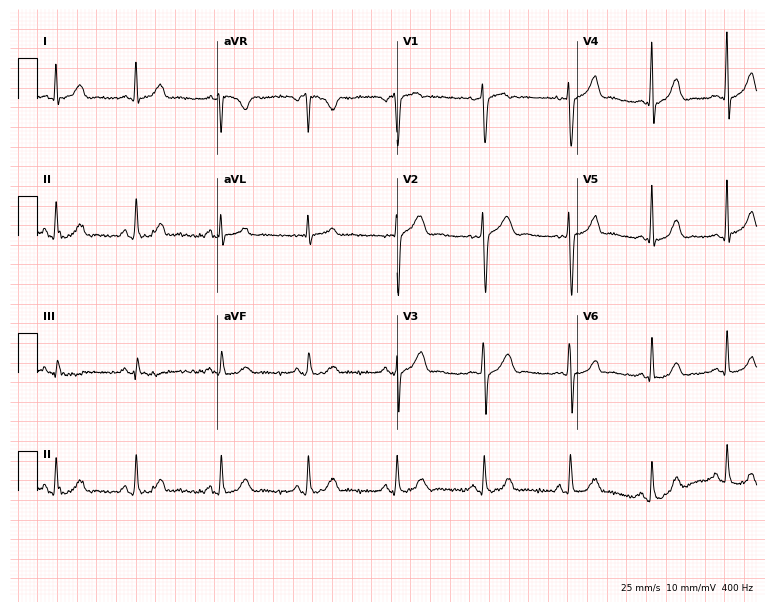
Standard 12-lead ECG recorded from a female patient, 26 years old (7.3-second recording at 400 Hz). None of these six findings is recorded: first-degree AV block, right bundle branch block (RBBB), left bundle branch block (LBBB), sinus bradycardia, atrial fibrillation (AF), sinus tachycardia.